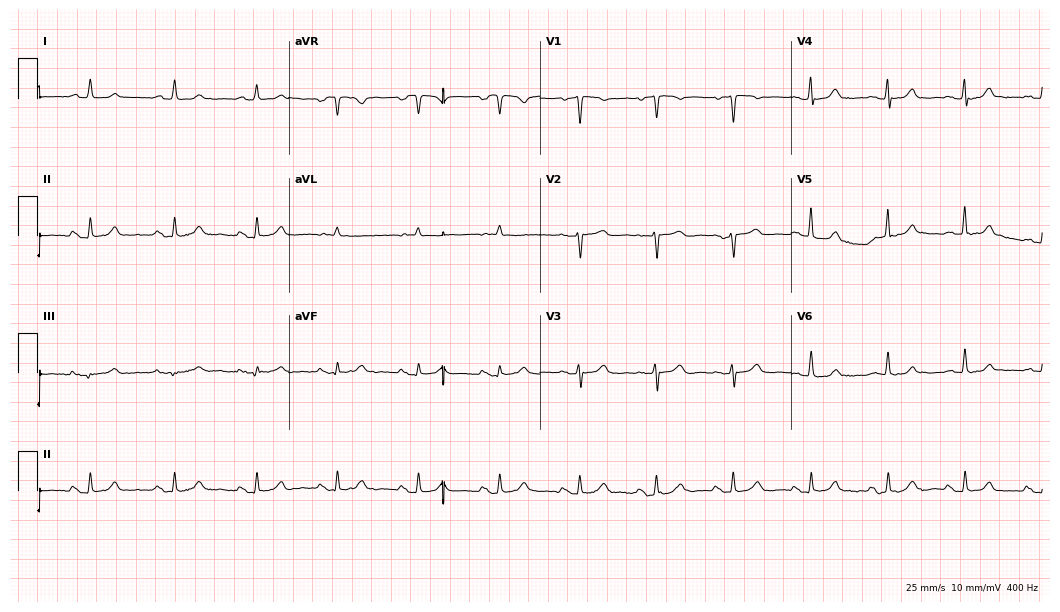
12-lead ECG (10.2-second recording at 400 Hz) from a 48-year-old female patient. Labelled as a normal ECG.